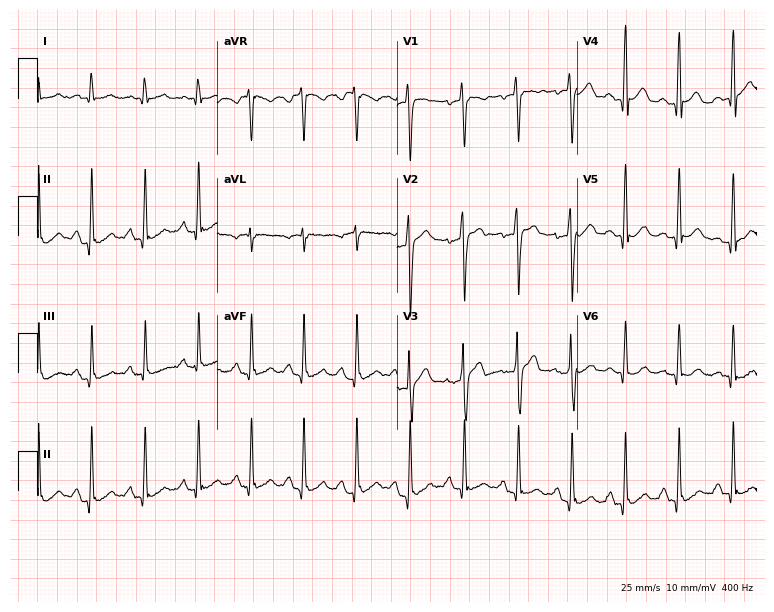
Resting 12-lead electrocardiogram. Patient: a male, 32 years old. None of these six findings is recorded: first-degree AV block, right bundle branch block (RBBB), left bundle branch block (LBBB), sinus bradycardia, atrial fibrillation (AF), sinus tachycardia.